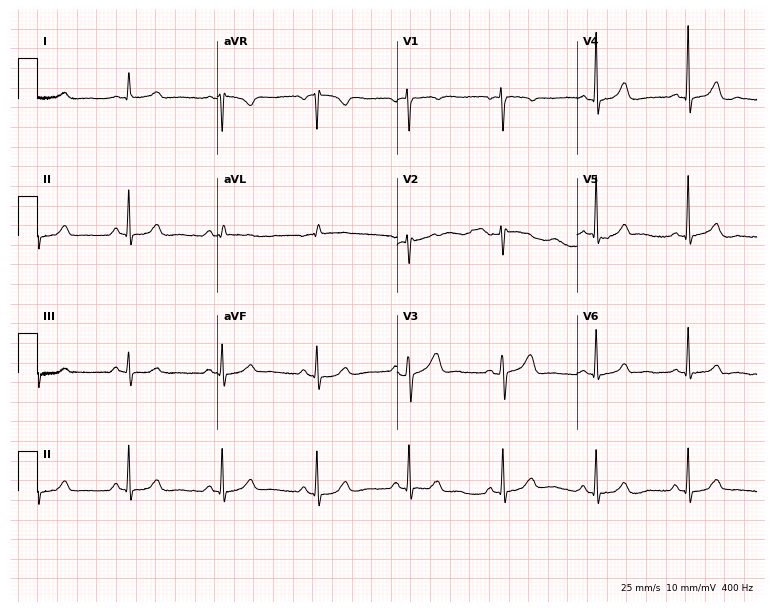
Resting 12-lead electrocardiogram (7.3-second recording at 400 Hz). Patient: a 58-year-old woman. Read as a normal ECG.